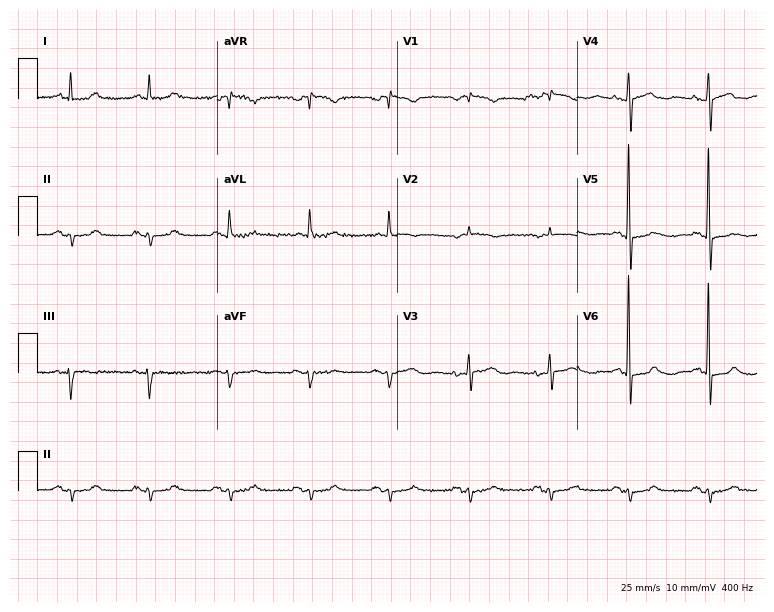
Resting 12-lead electrocardiogram. Patient: an 82-year-old female. None of these six findings is recorded: first-degree AV block, right bundle branch block, left bundle branch block, sinus bradycardia, atrial fibrillation, sinus tachycardia.